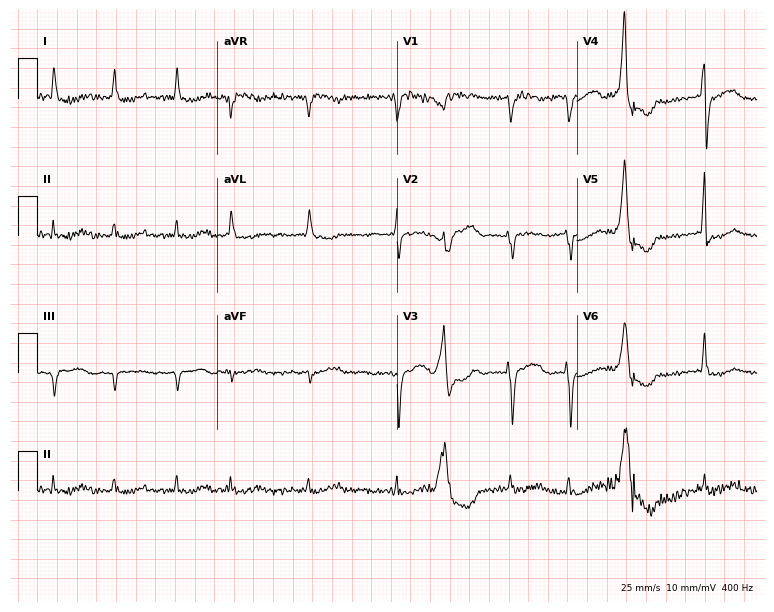
Electrocardiogram, a male patient, 80 years old. Interpretation includes atrial fibrillation.